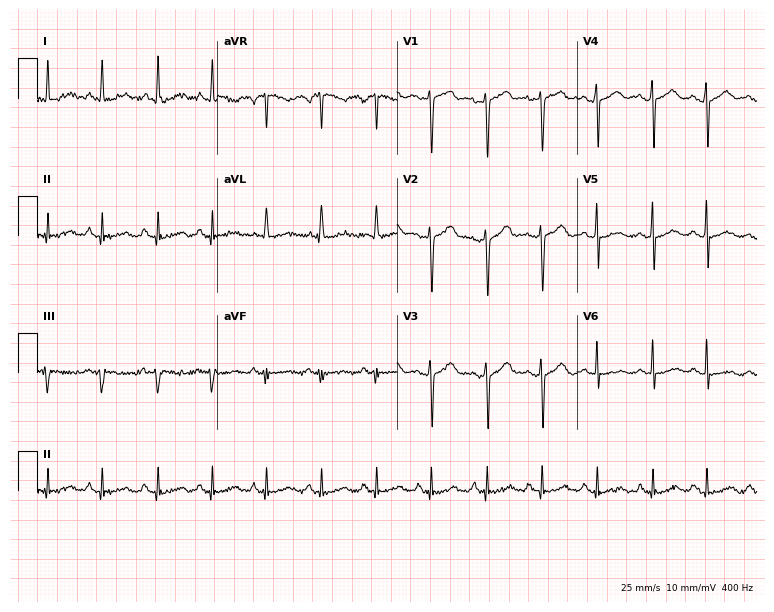
Electrocardiogram, a 48-year-old female. Interpretation includes sinus tachycardia (a sinus rate of 100 beats per minute or more).